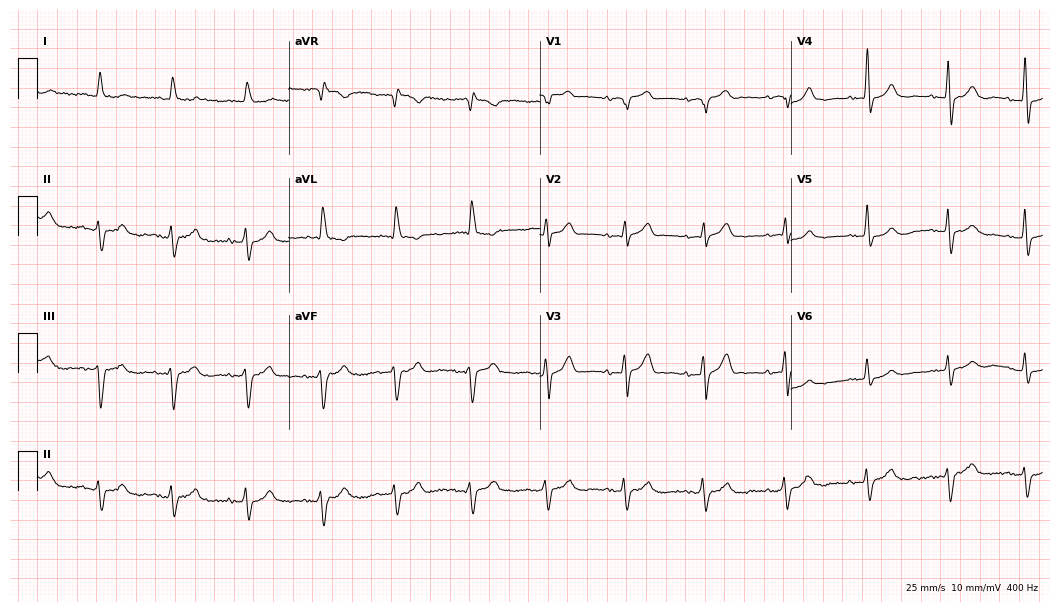
Resting 12-lead electrocardiogram (10.2-second recording at 400 Hz). Patient: an 83-year-old female. The tracing shows left bundle branch block.